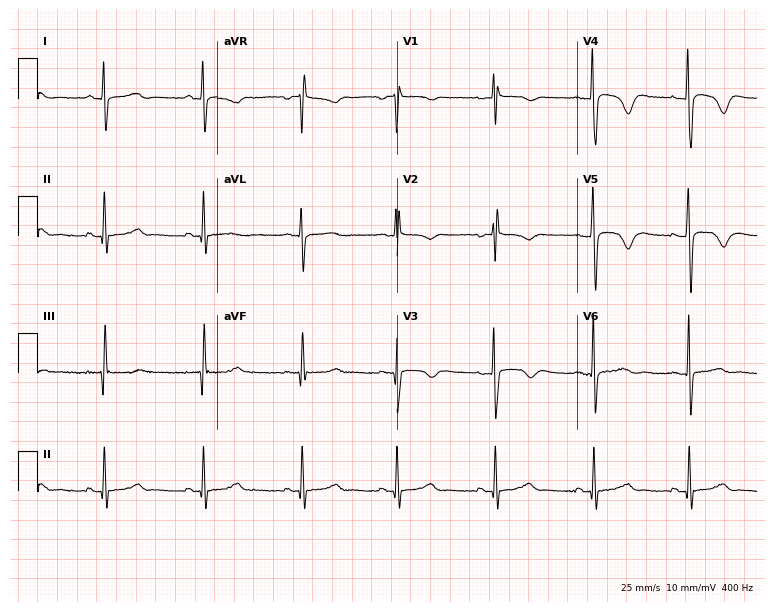
Electrocardiogram, a 29-year-old male patient. Of the six screened findings (first-degree AV block, right bundle branch block, left bundle branch block, sinus bradycardia, atrial fibrillation, sinus tachycardia), none is recorded. Findings outside these six are not listed.